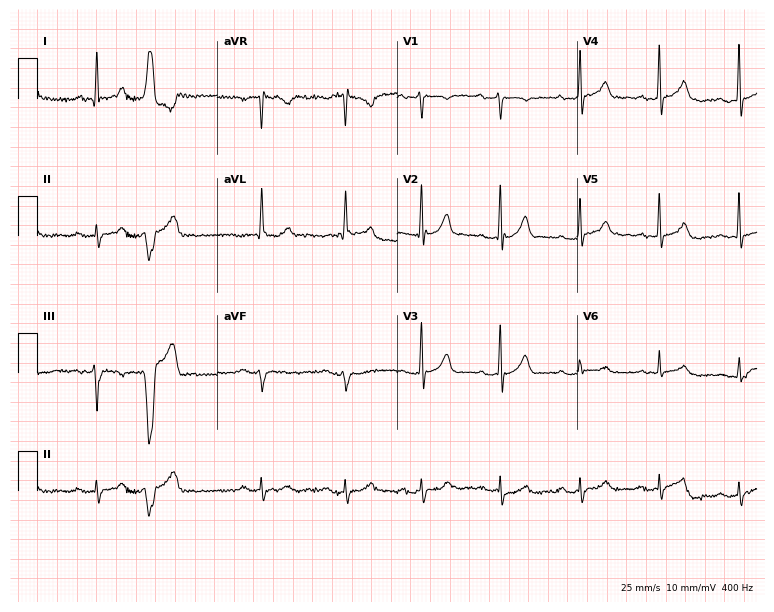
12-lead ECG from an 84-year-old male (7.3-second recording at 400 Hz). No first-degree AV block, right bundle branch block, left bundle branch block, sinus bradycardia, atrial fibrillation or sinus tachycardia recorded for this tracing.